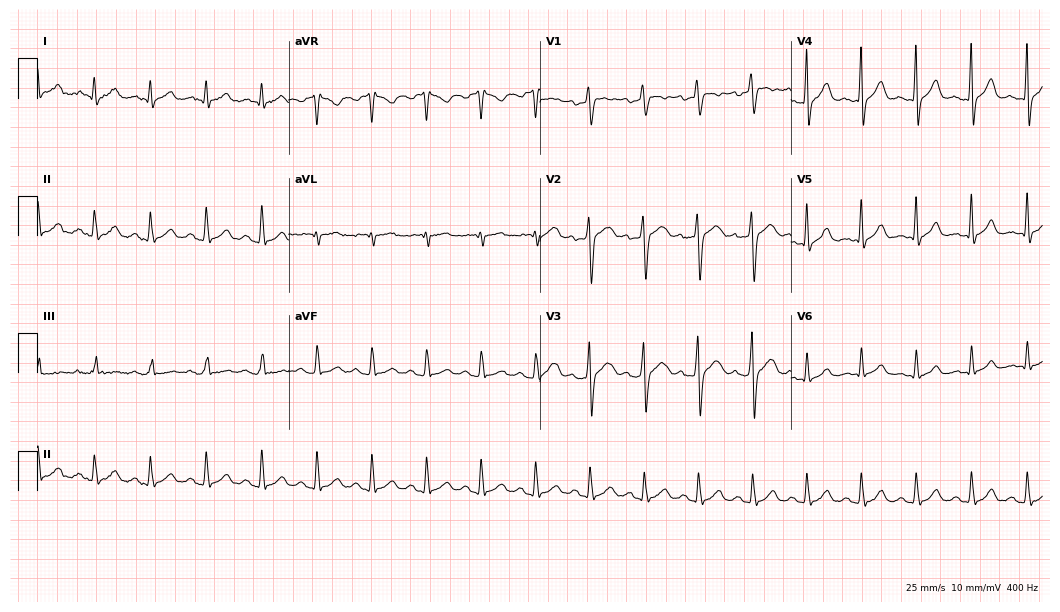
12-lead ECG (10.2-second recording at 400 Hz) from a 21-year-old man. Findings include sinus tachycardia (a sinus rate of 100 beats per minute or more).